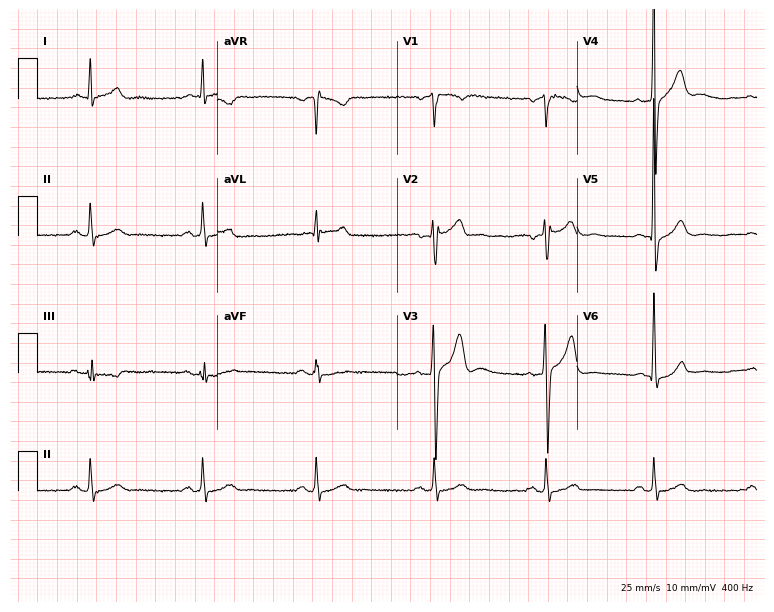
12-lead ECG (7.3-second recording at 400 Hz) from a female, 54 years old. Screened for six findings — first-degree AV block, right bundle branch block, left bundle branch block, sinus bradycardia, atrial fibrillation, sinus tachycardia — none is recorded.